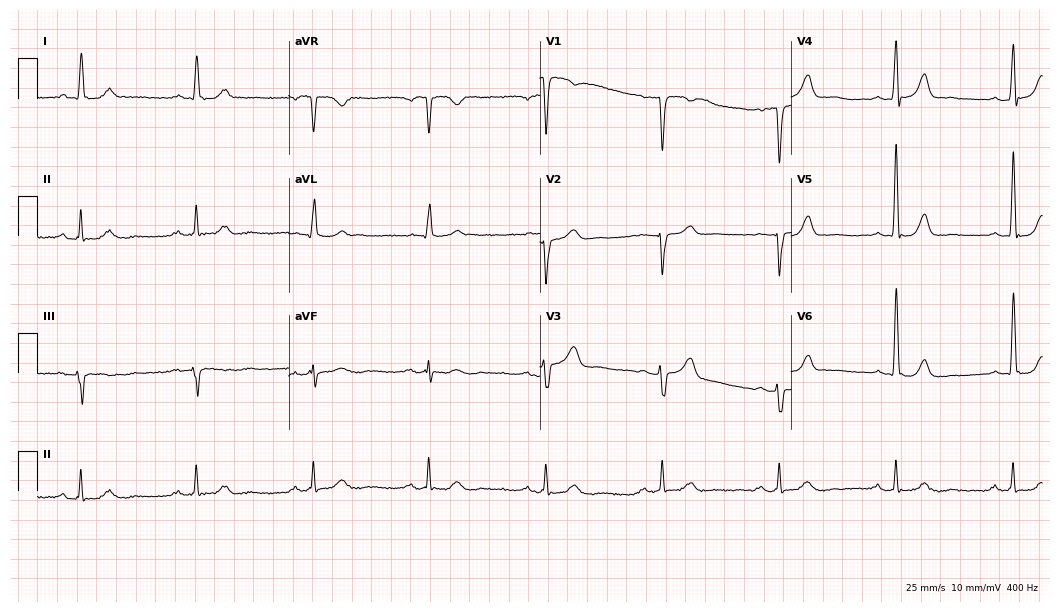
12-lead ECG (10.2-second recording at 400 Hz) from a 69-year-old male patient. Labelled as a normal ECG.